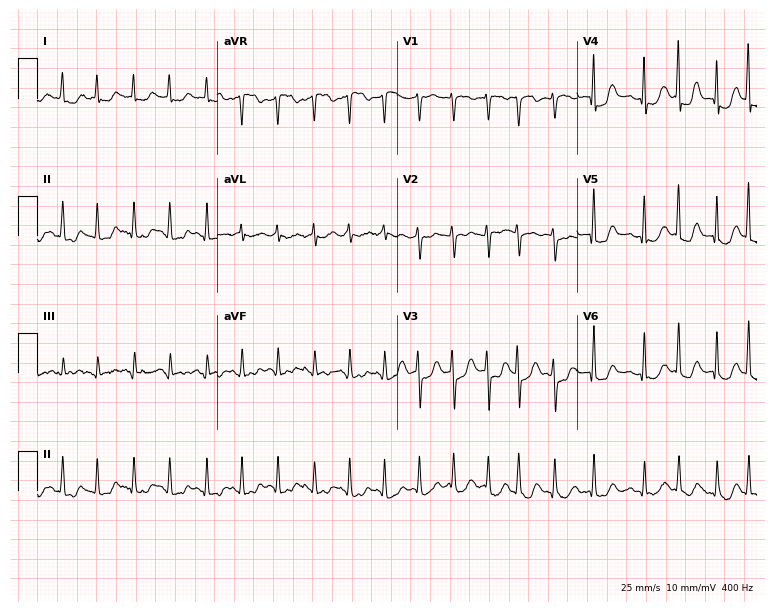
Electrocardiogram (7.3-second recording at 400 Hz), a 75-year-old female. Interpretation includes atrial fibrillation (AF).